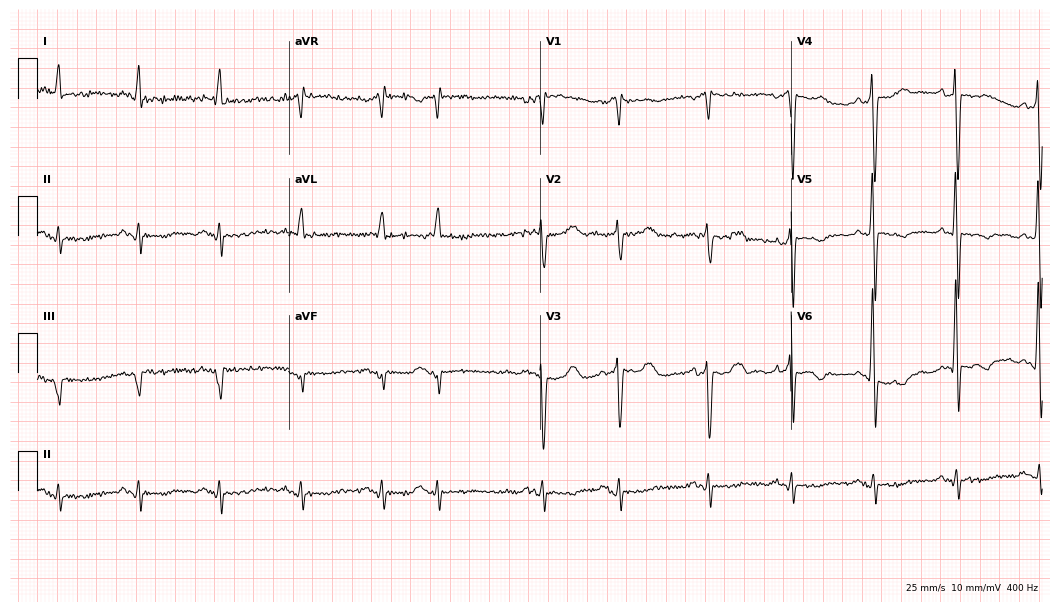
Resting 12-lead electrocardiogram. Patient: a man, 74 years old. None of these six findings is recorded: first-degree AV block, right bundle branch block, left bundle branch block, sinus bradycardia, atrial fibrillation, sinus tachycardia.